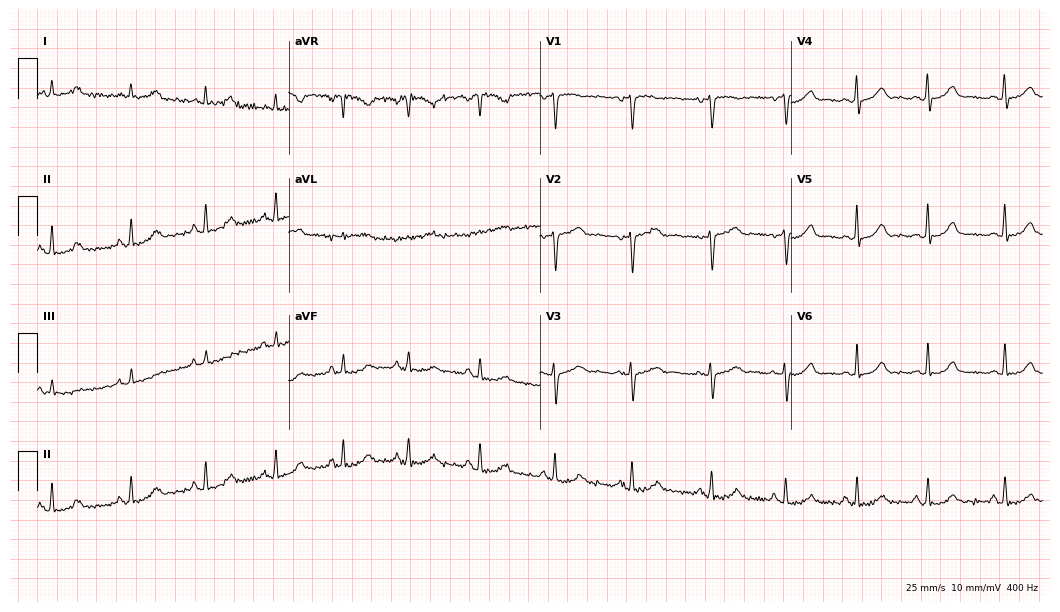
12-lead ECG from a 37-year-old woman. No first-degree AV block, right bundle branch block, left bundle branch block, sinus bradycardia, atrial fibrillation or sinus tachycardia recorded for this tracing. Other findings, if any, are not listed.